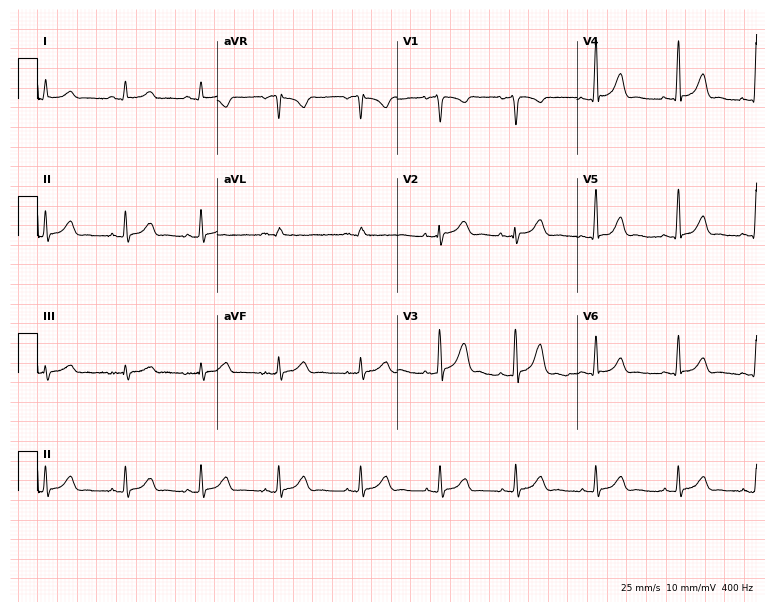
12-lead ECG (7.3-second recording at 400 Hz) from a female, 24 years old. Labelled as a normal ECG.